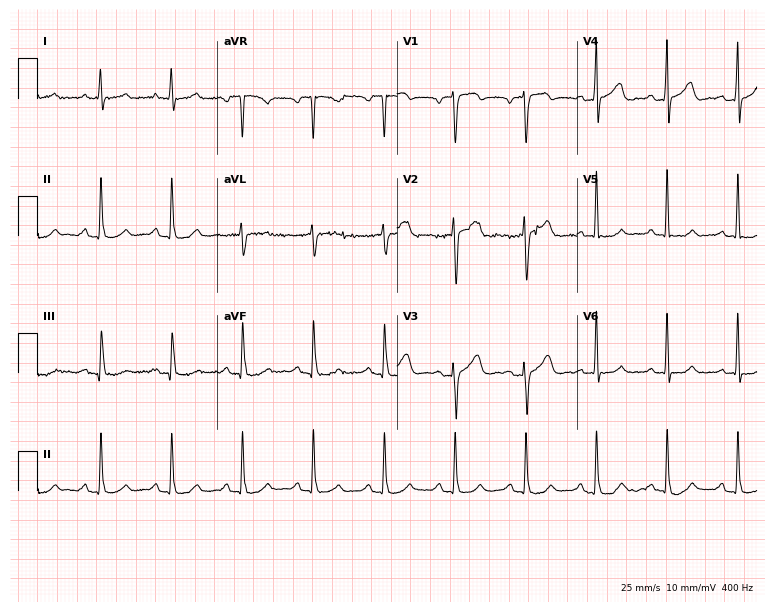
12-lead ECG from a 79-year-old male. No first-degree AV block, right bundle branch block, left bundle branch block, sinus bradycardia, atrial fibrillation or sinus tachycardia recorded for this tracing. Only these six findings were labelled.